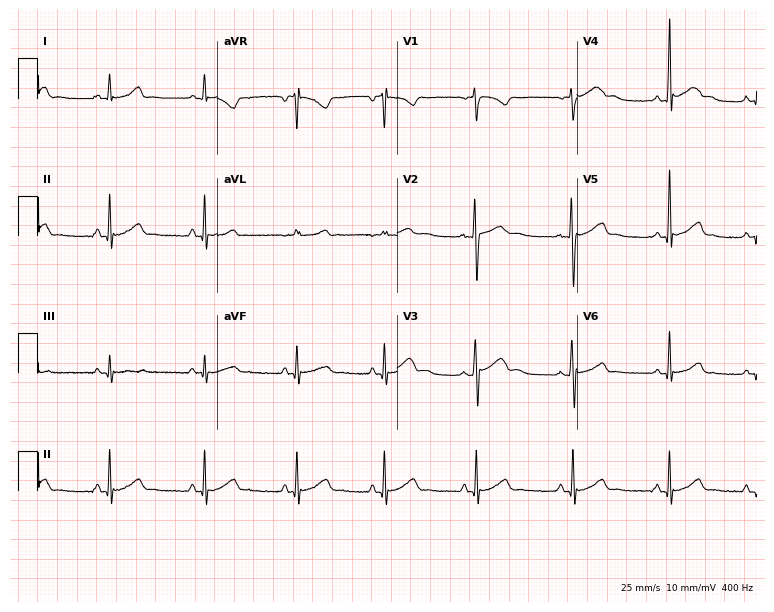
Standard 12-lead ECG recorded from a man, 18 years old (7.3-second recording at 400 Hz). None of these six findings is recorded: first-degree AV block, right bundle branch block, left bundle branch block, sinus bradycardia, atrial fibrillation, sinus tachycardia. Only these six findings were labelled.